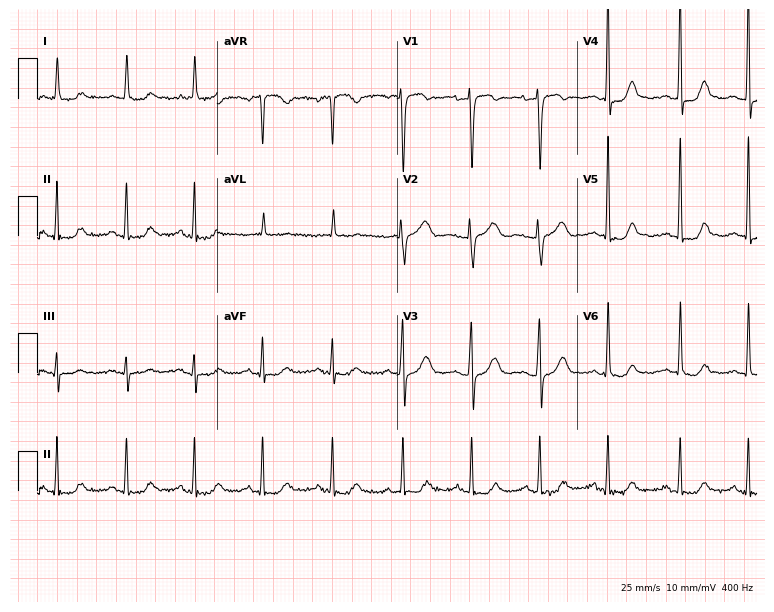
Standard 12-lead ECG recorded from a 52-year-old female. Read as a normal ECG.